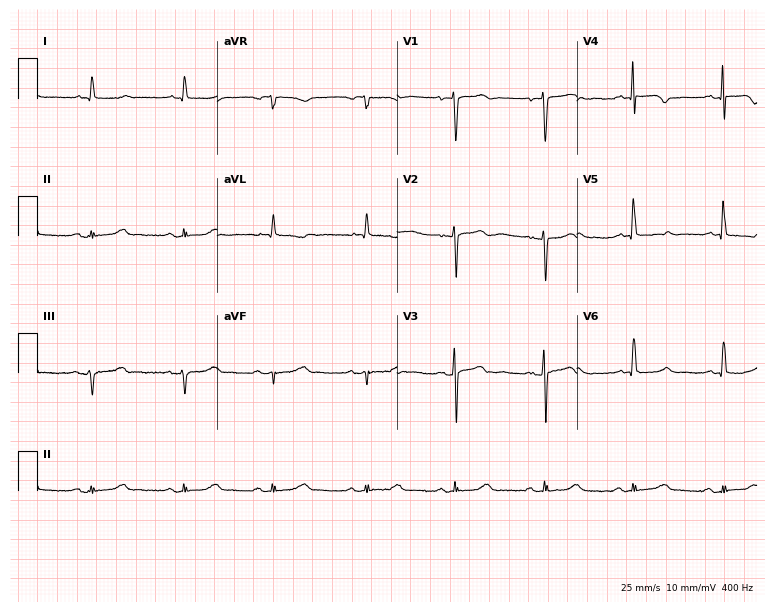
Resting 12-lead electrocardiogram (7.3-second recording at 400 Hz). Patient: a 72-year-old male. None of these six findings is recorded: first-degree AV block, right bundle branch block, left bundle branch block, sinus bradycardia, atrial fibrillation, sinus tachycardia. Only these six findings were labelled.